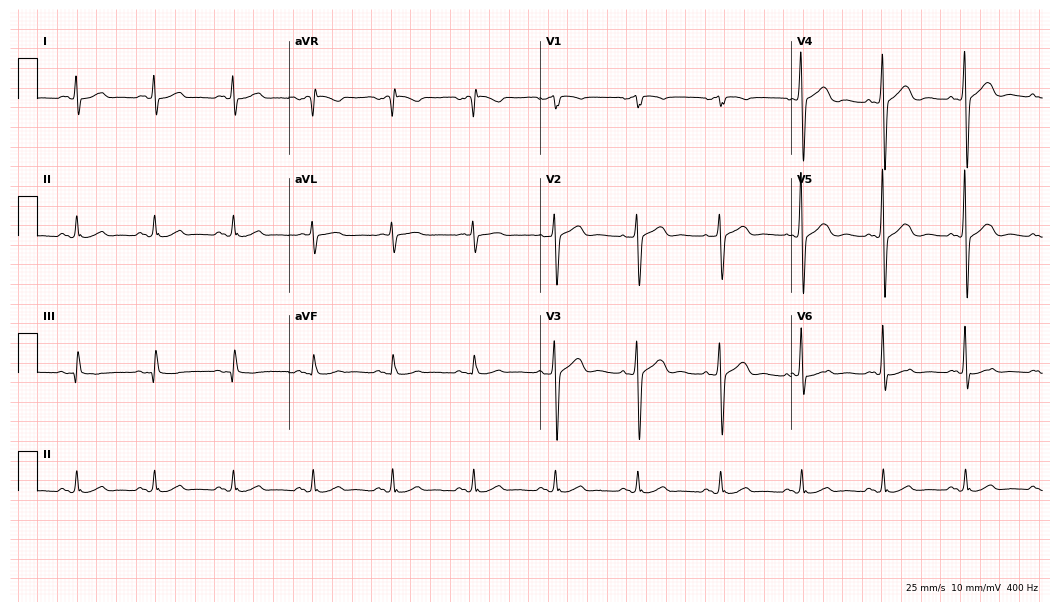
Standard 12-lead ECG recorded from a 72-year-old male patient (10.2-second recording at 400 Hz). Read as a normal ECG.